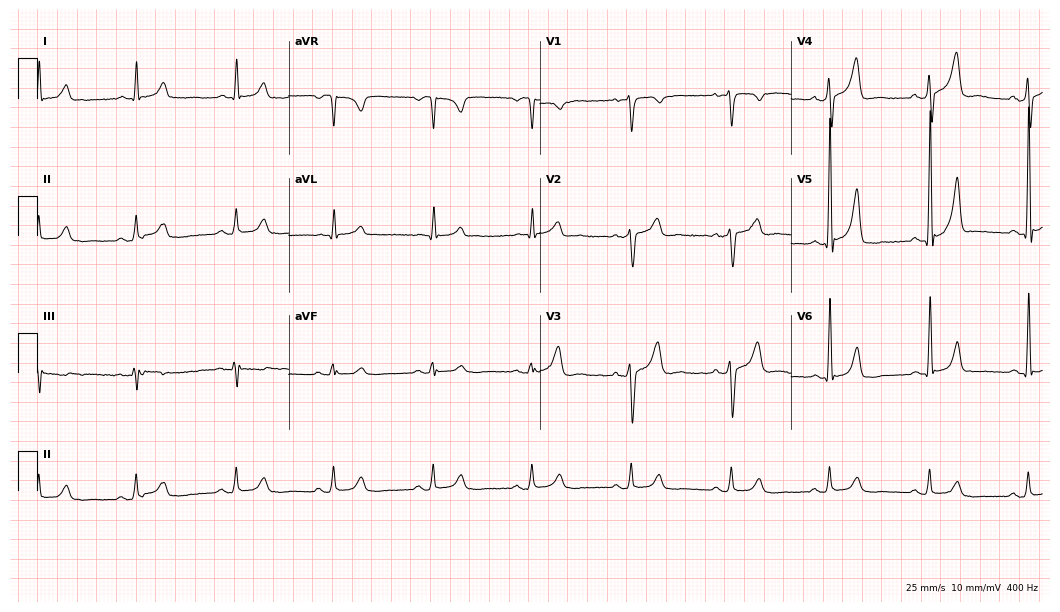
Standard 12-lead ECG recorded from a man, 68 years old (10.2-second recording at 400 Hz). None of these six findings is recorded: first-degree AV block, right bundle branch block (RBBB), left bundle branch block (LBBB), sinus bradycardia, atrial fibrillation (AF), sinus tachycardia.